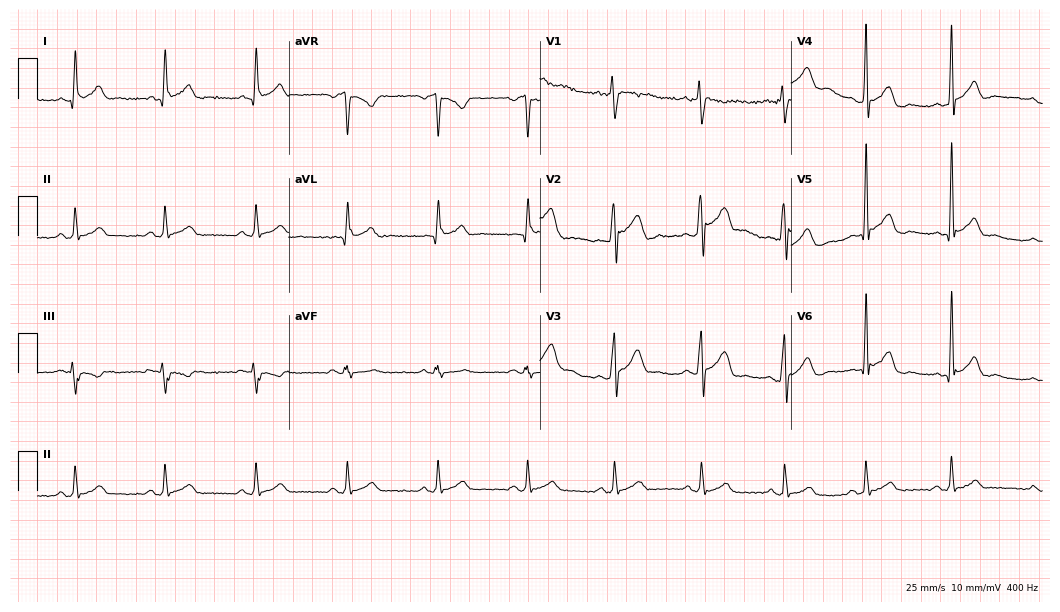
Electrocardiogram, a 33-year-old man. Overall reading on record: normal ECG.